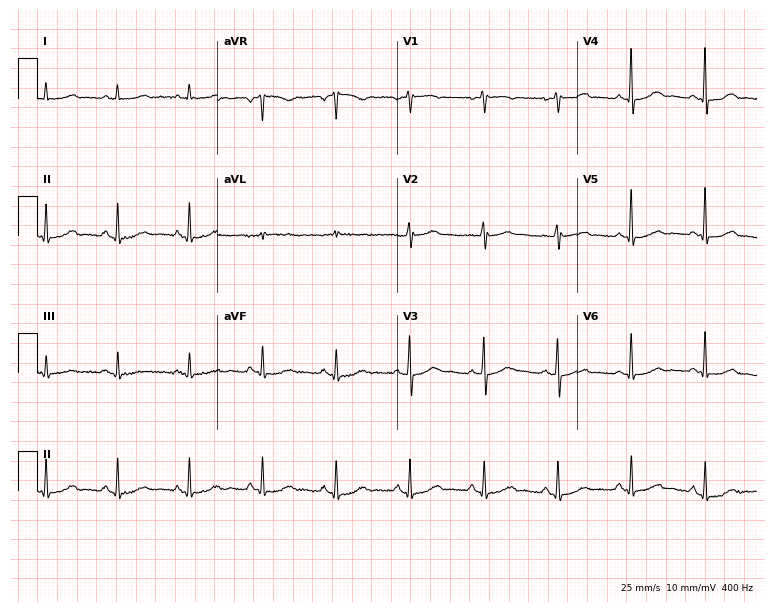
12-lead ECG from a female patient, 53 years old (7.3-second recording at 400 Hz). Recorded interpretation: within normal limits.